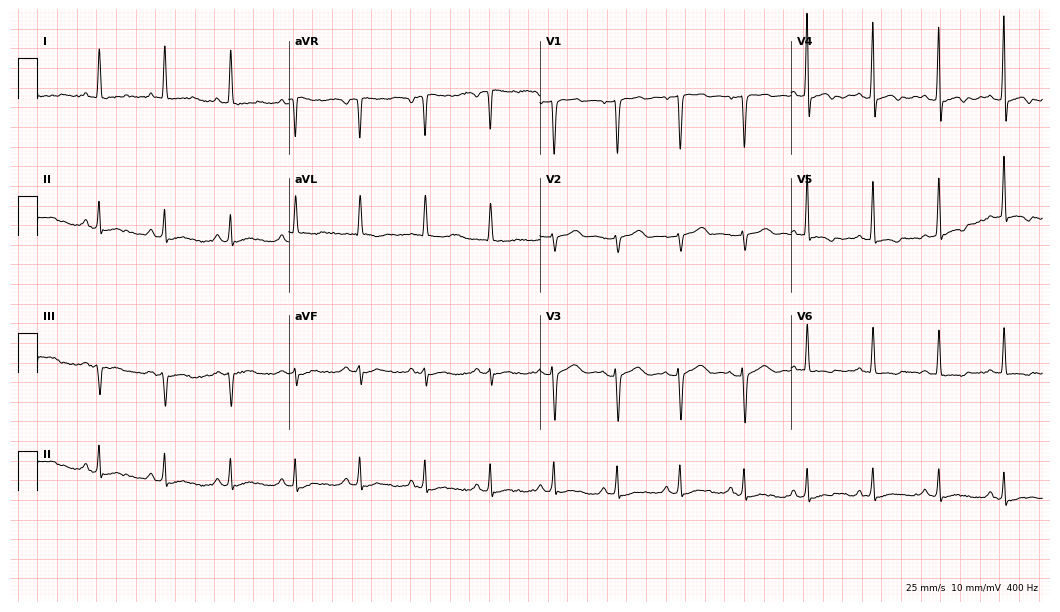
Resting 12-lead electrocardiogram (10.2-second recording at 400 Hz). Patient: a 48-year-old female. None of these six findings is recorded: first-degree AV block, right bundle branch block, left bundle branch block, sinus bradycardia, atrial fibrillation, sinus tachycardia.